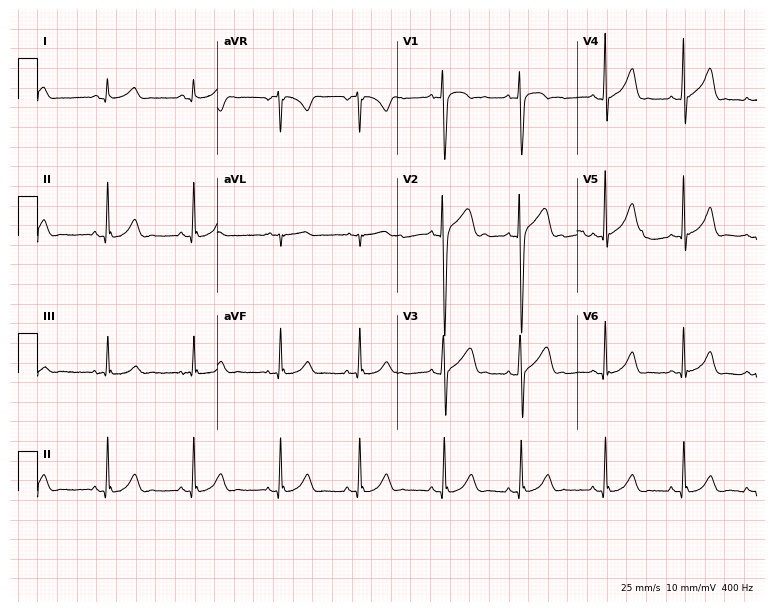
Resting 12-lead electrocardiogram. Patient: a man, 30 years old. Read as a normal ECG.